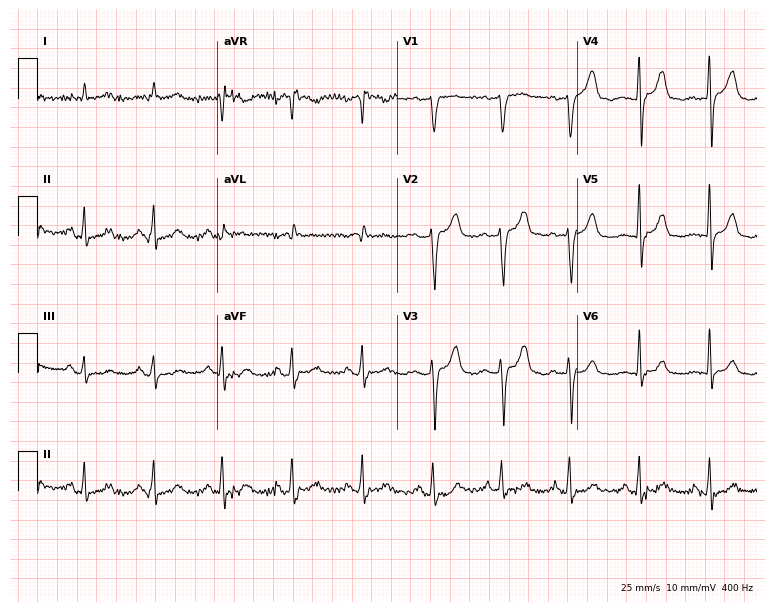
Resting 12-lead electrocardiogram (7.3-second recording at 400 Hz). Patient: a female, 79 years old. None of these six findings is recorded: first-degree AV block, right bundle branch block, left bundle branch block, sinus bradycardia, atrial fibrillation, sinus tachycardia. Findings outside these six are not listed.